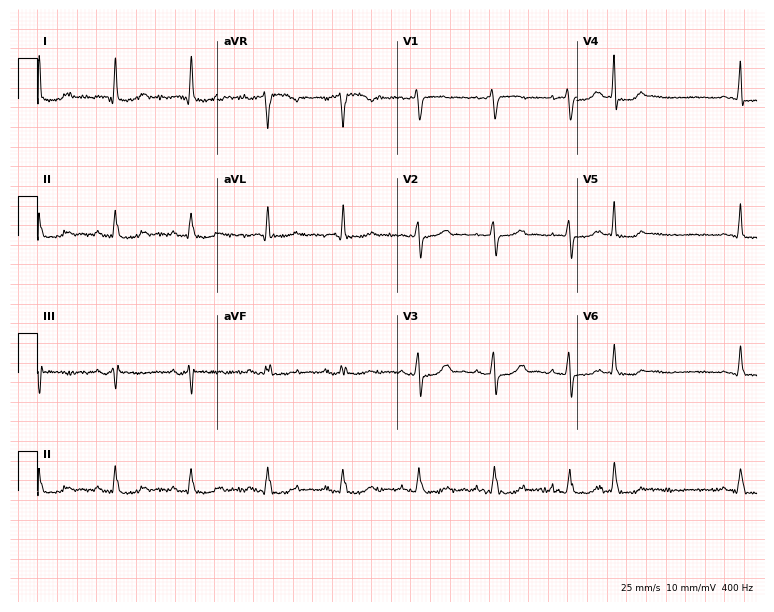
Electrocardiogram, a female patient, 70 years old. Of the six screened findings (first-degree AV block, right bundle branch block (RBBB), left bundle branch block (LBBB), sinus bradycardia, atrial fibrillation (AF), sinus tachycardia), none is recorded. Other findings, if any, are not listed.